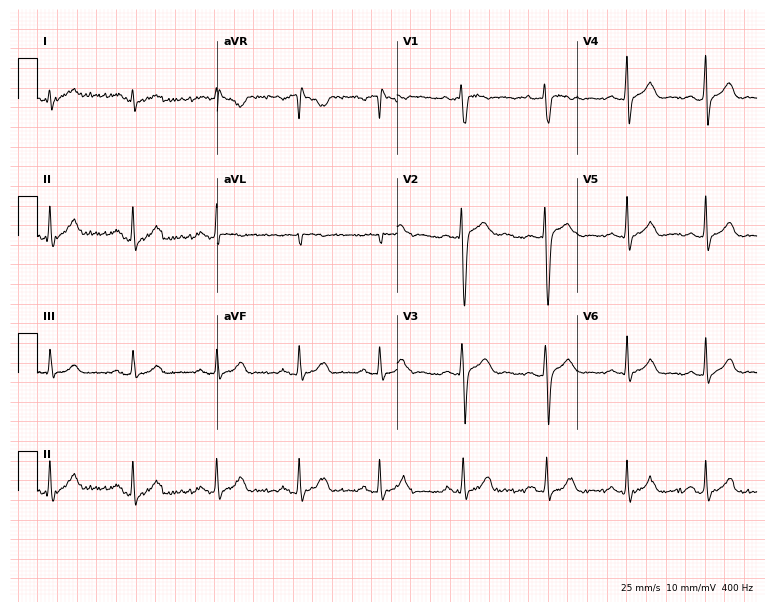
Electrocardiogram, a 24-year-old male patient. Of the six screened findings (first-degree AV block, right bundle branch block (RBBB), left bundle branch block (LBBB), sinus bradycardia, atrial fibrillation (AF), sinus tachycardia), none is recorded.